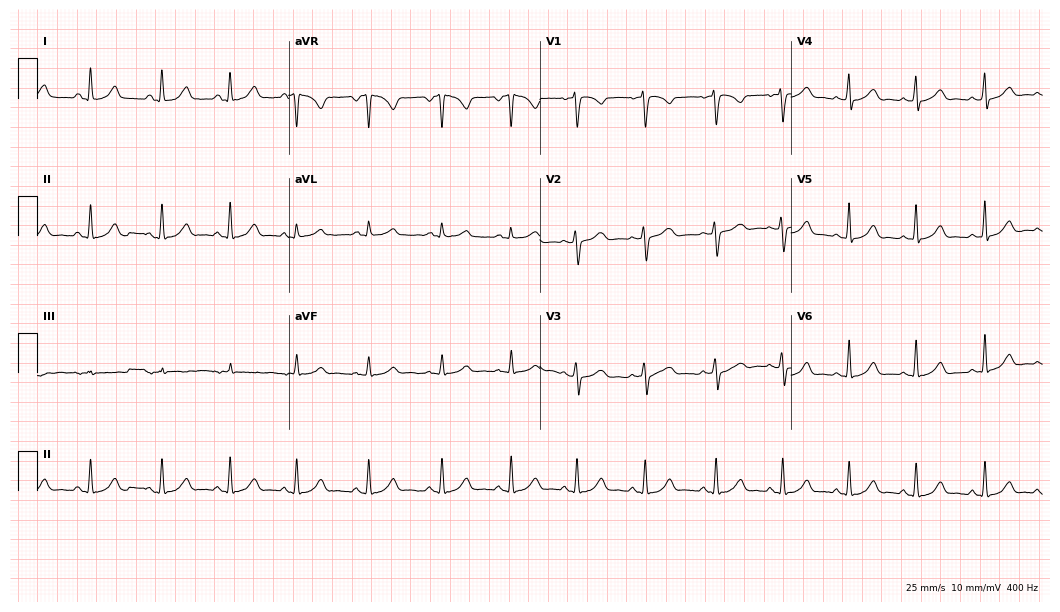
Resting 12-lead electrocardiogram (10.2-second recording at 400 Hz). Patient: a female, 27 years old. Read as a normal ECG.